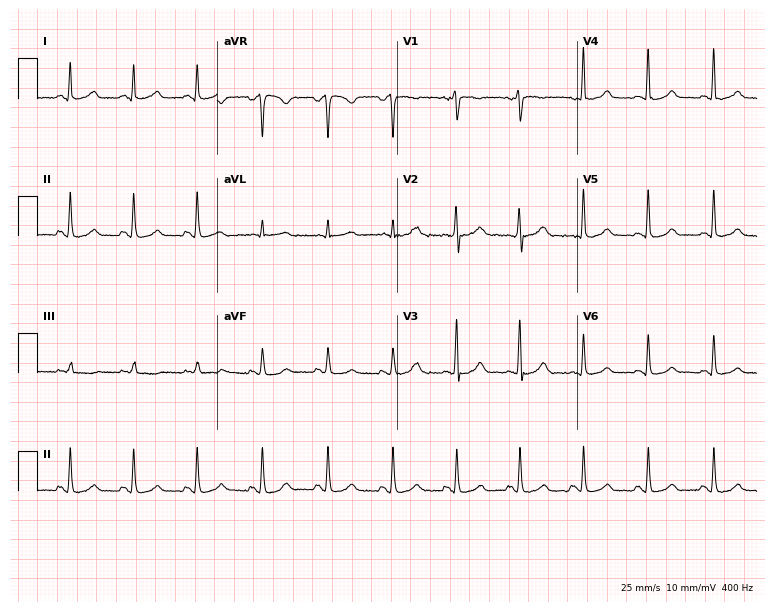
ECG (7.3-second recording at 400 Hz) — a 38-year-old woman. Labelled as a normal ECG.